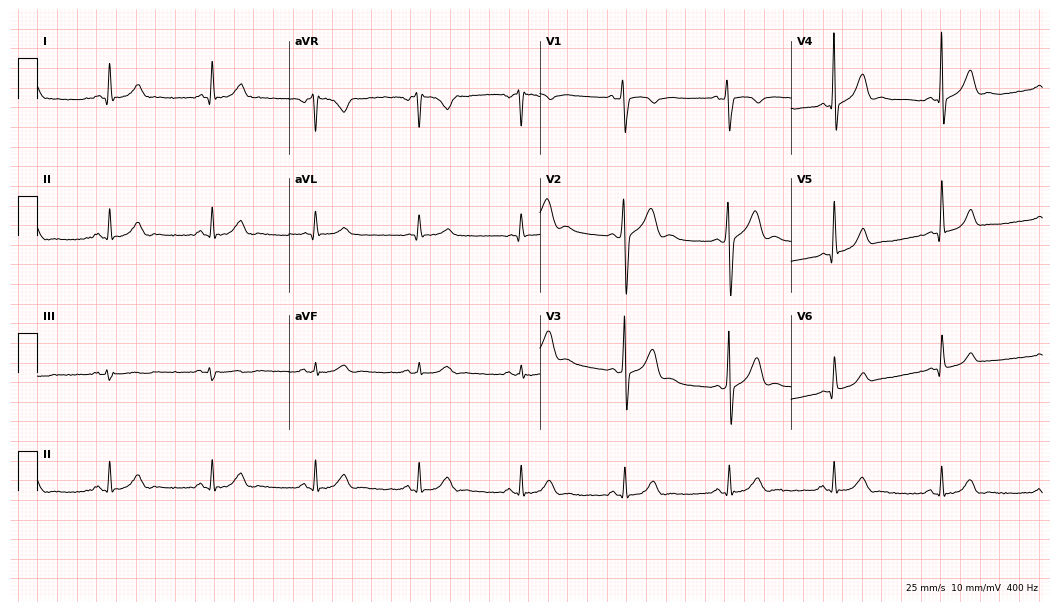
Electrocardiogram (10.2-second recording at 400 Hz), a man, 38 years old. Overall reading on record: normal ECG.